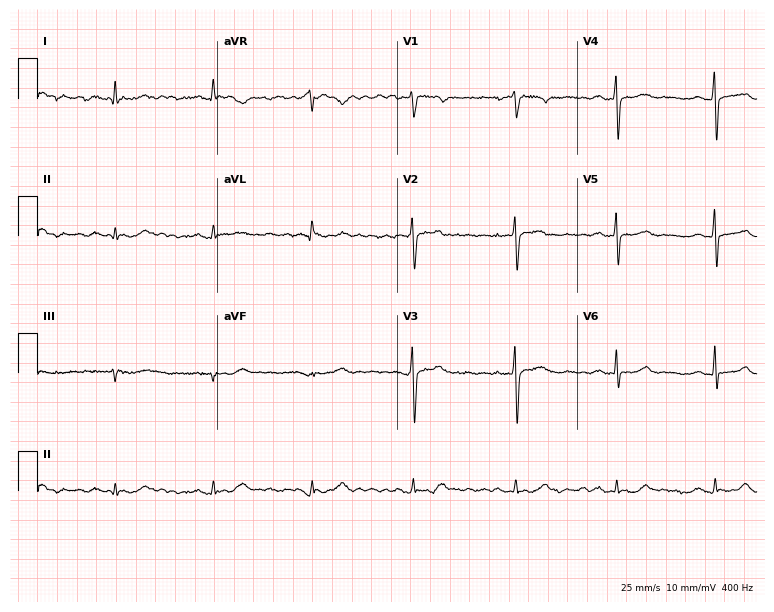
12-lead ECG (7.3-second recording at 400 Hz) from a female patient, 46 years old. Screened for six findings — first-degree AV block, right bundle branch block, left bundle branch block, sinus bradycardia, atrial fibrillation, sinus tachycardia — none is recorded.